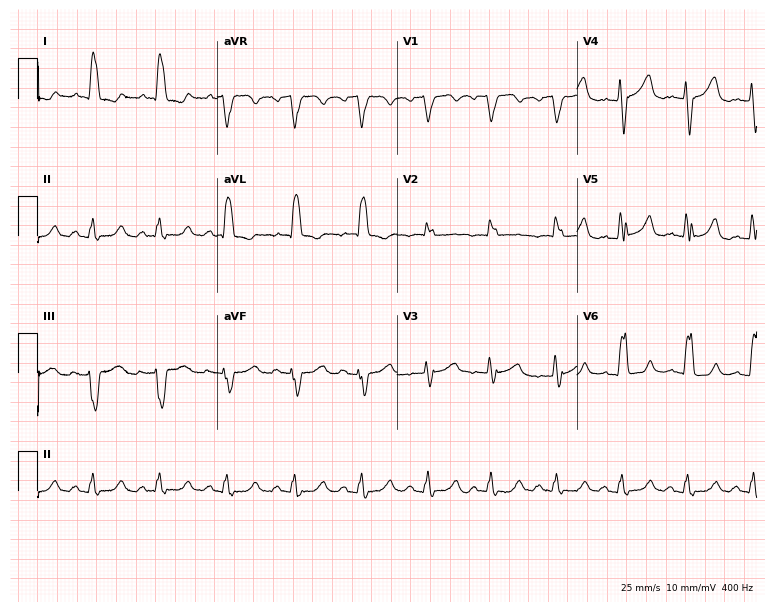
ECG (7.3-second recording at 400 Hz) — a female, 83 years old. Screened for six findings — first-degree AV block, right bundle branch block, left bundle branch block, sinus bradycardia, atrial fibrillation, sinus tachycardia — none is recorded.